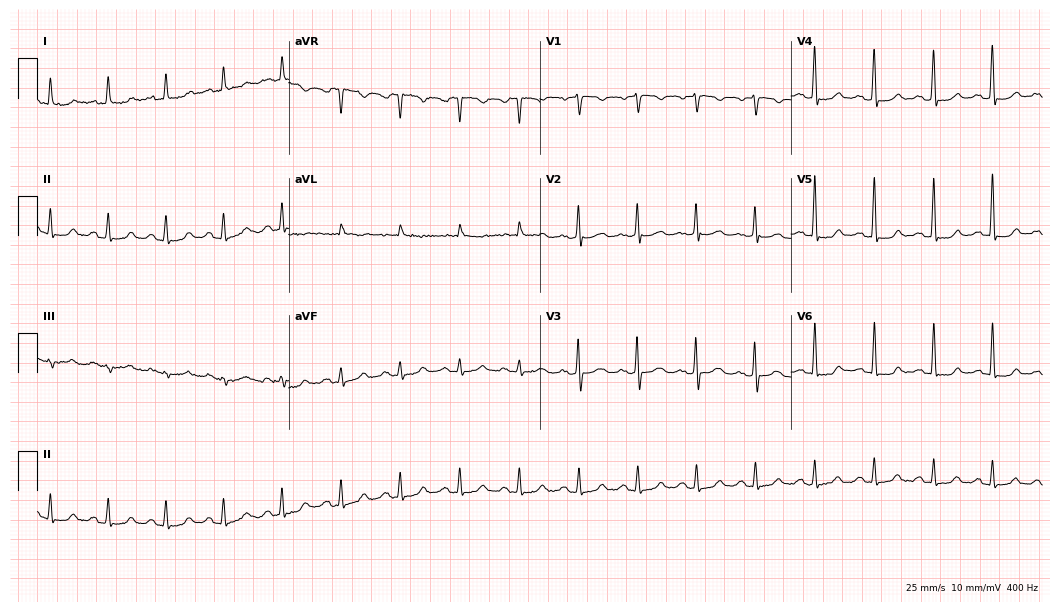
Resting 12-lead electrocardiogram. Patient: a 61-year-old female. The tracing shows sinus tachycardia (a sinus rate of 100 beats per minute or more).